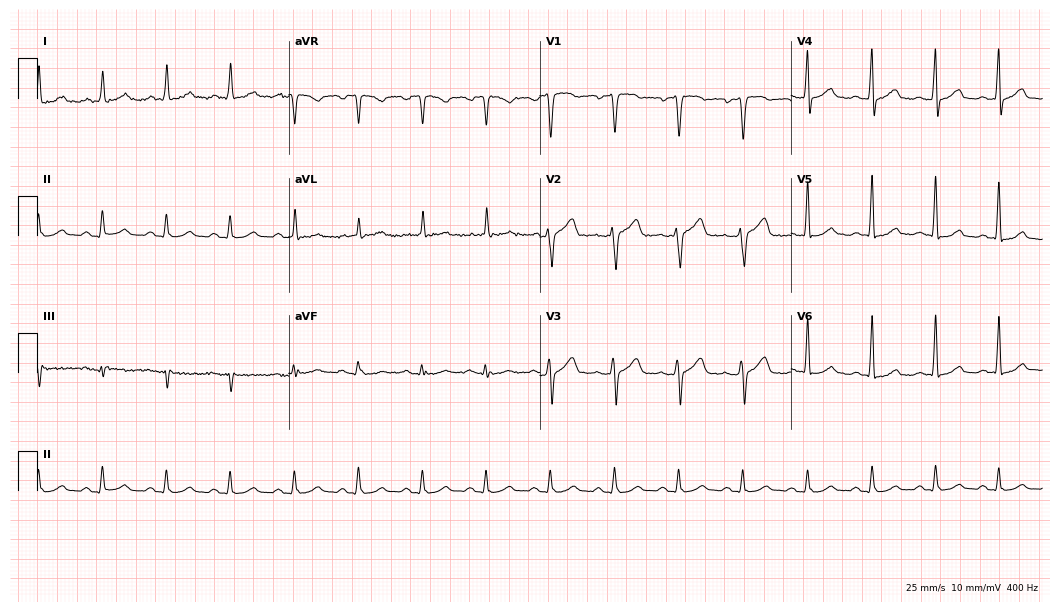
ECG (10.2-second recording at 400 Hz) — a man, 64 years old. Labelled as a normal ECG.